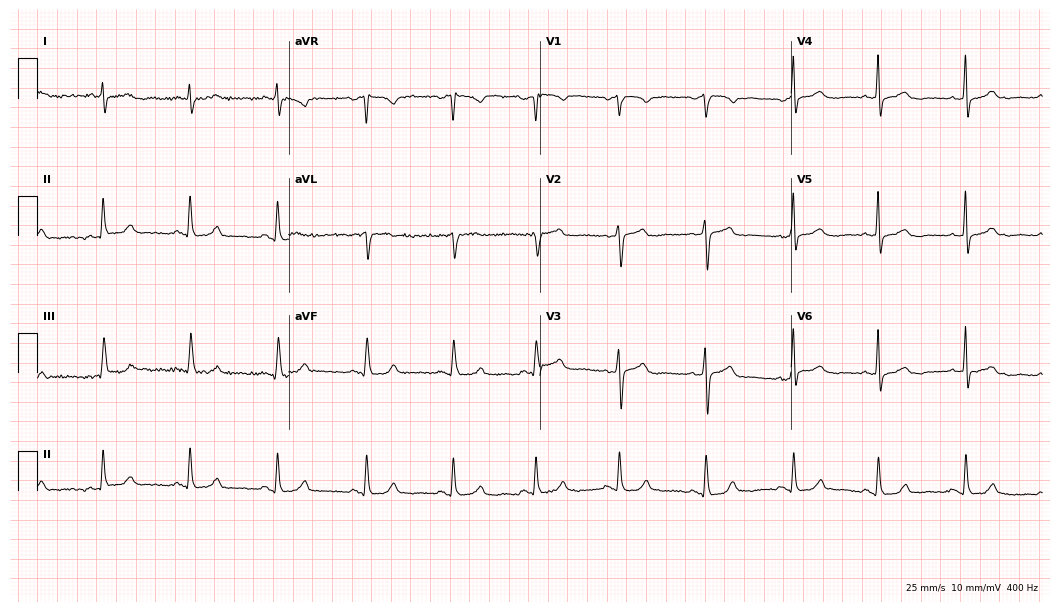
12-lead ECG from a female, 55 years old. Labelled as a normal ECG.